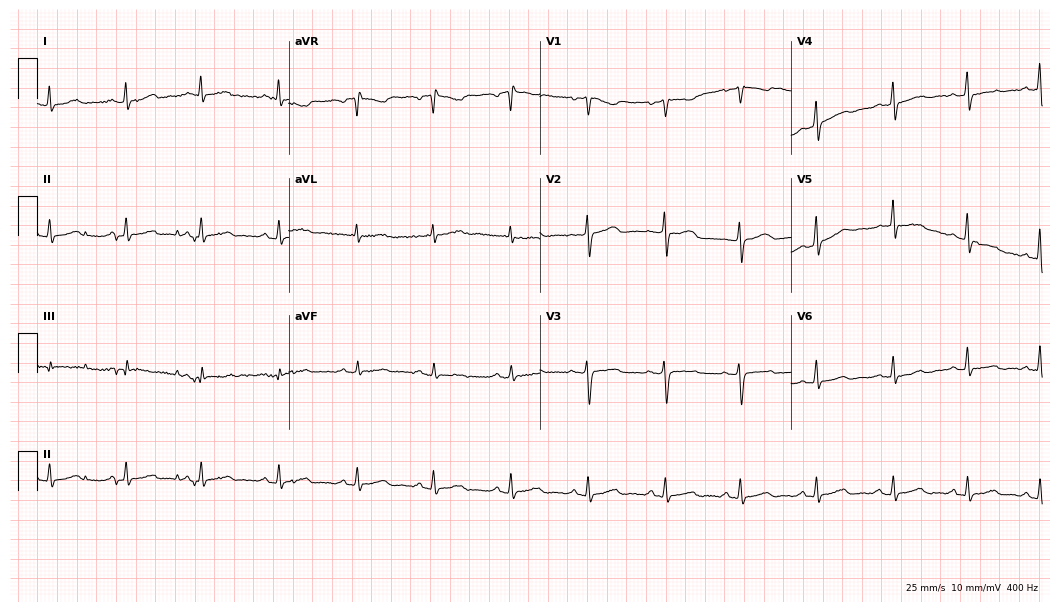
Standard 12-lead ECG recorded from a woman, 47 years old. Read as a normal ECG.